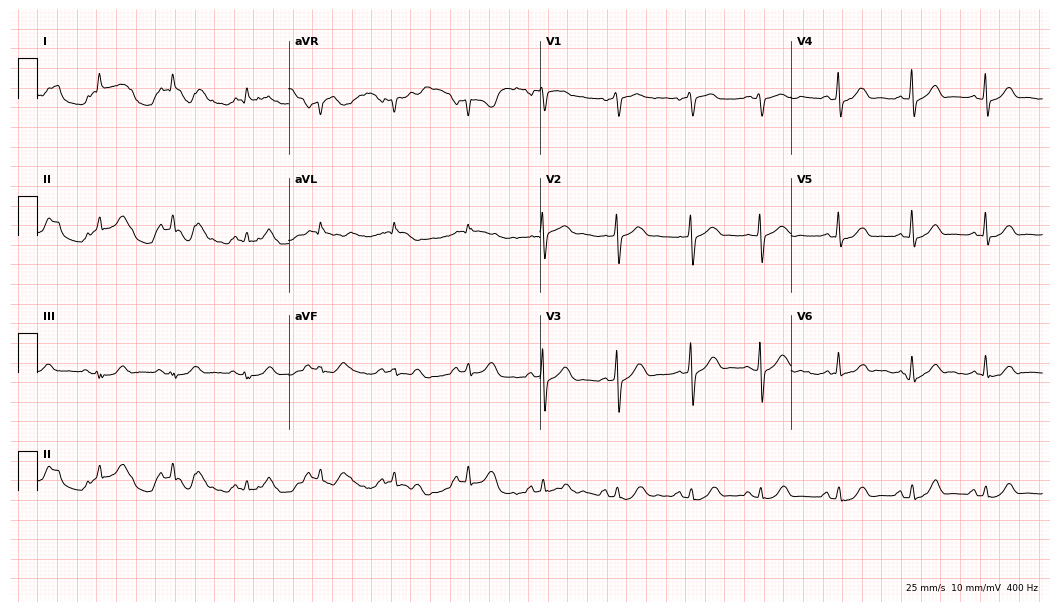
Electrocardiogram (10.2-second recording at 400 Hz), a man, 78 years old. Overall reading on record: normal ECG.